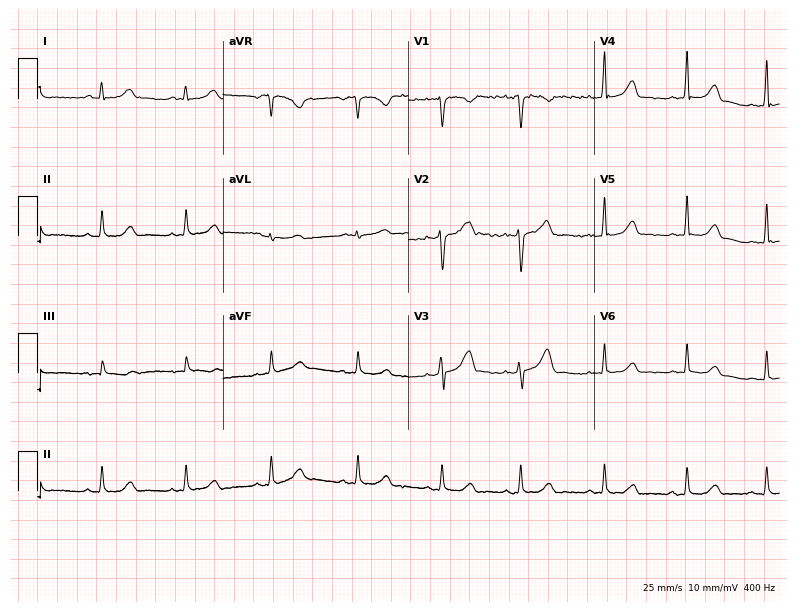
Standard 12-lead ECG recorded from a 30-year-old female patient (7.6-second recording at 400 Hz). Read as a normal ECG.